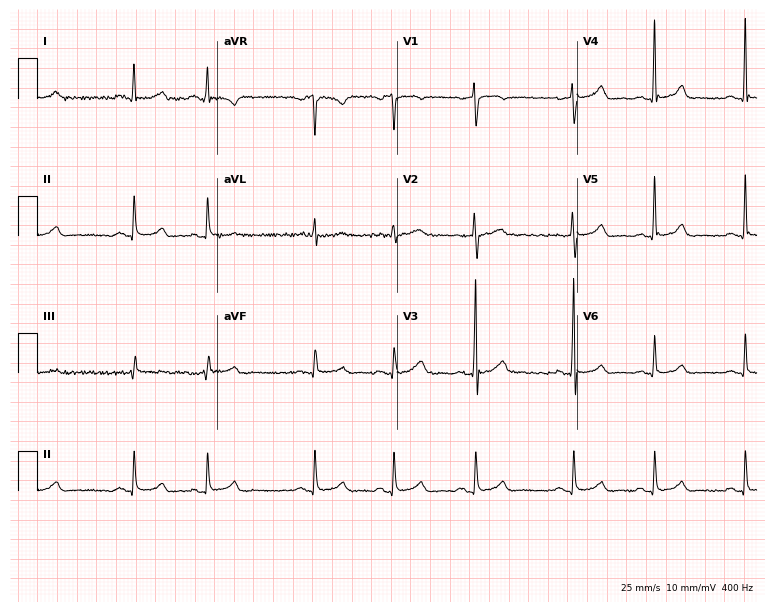
ECG — an 18-year-old female patient. Screened for six findings — first-degree AV block, right bundle branch block, left bundle branch block, sinus bradycardia, atrial fibrillation, sinus tachycardia — none is recorded.